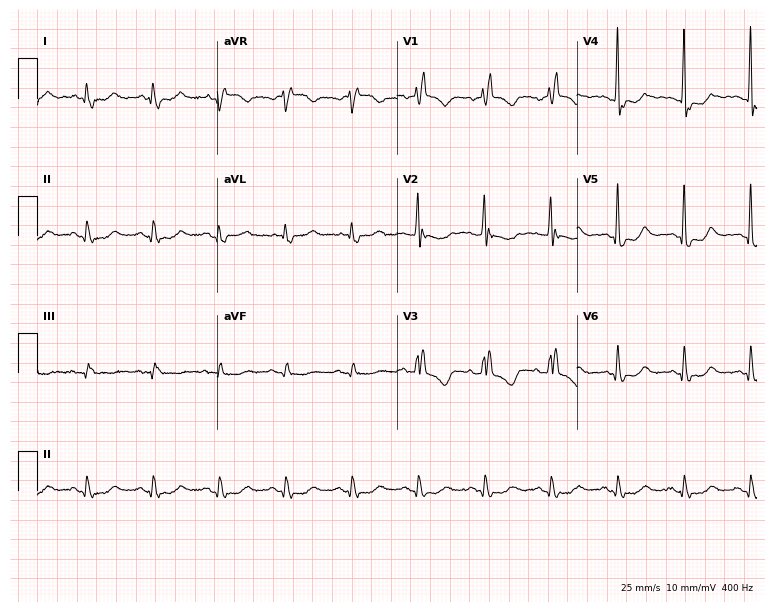
Electrocardiogram, a man, 72 years old. Interpretation includes right bundle branch block.